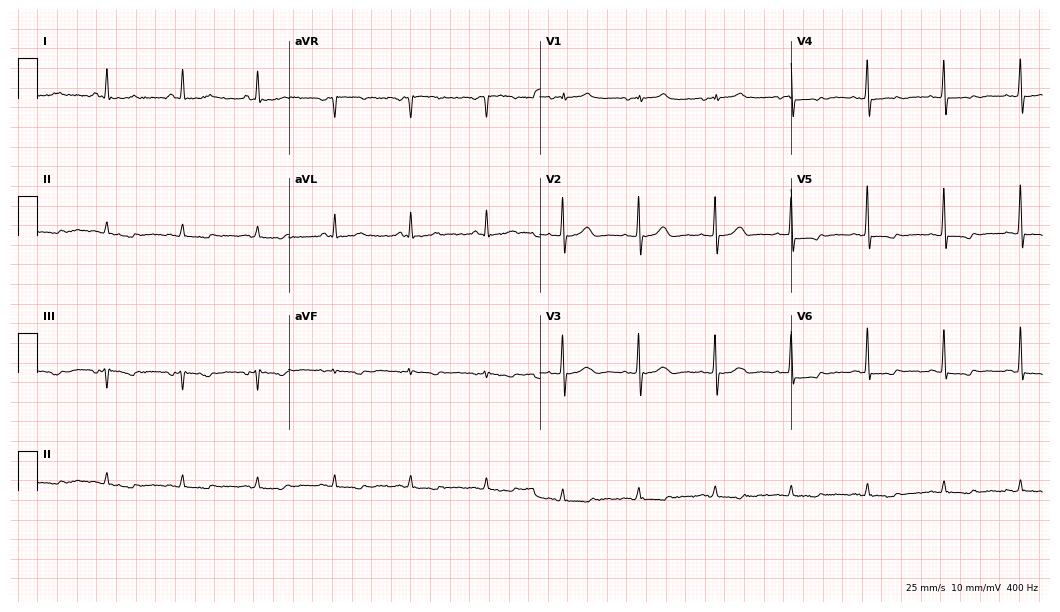
Resting 12-lead electrocardiogram (10.2-second recording at 400 Hz). Patient: a 78-year-old female. None of these six findings is recorded: first-degree AV block, right bundle branch block, left bundle branch block, sinus bradycardia, atrial fibrillation, sinus tachycardia. Only these six findings were labelled.